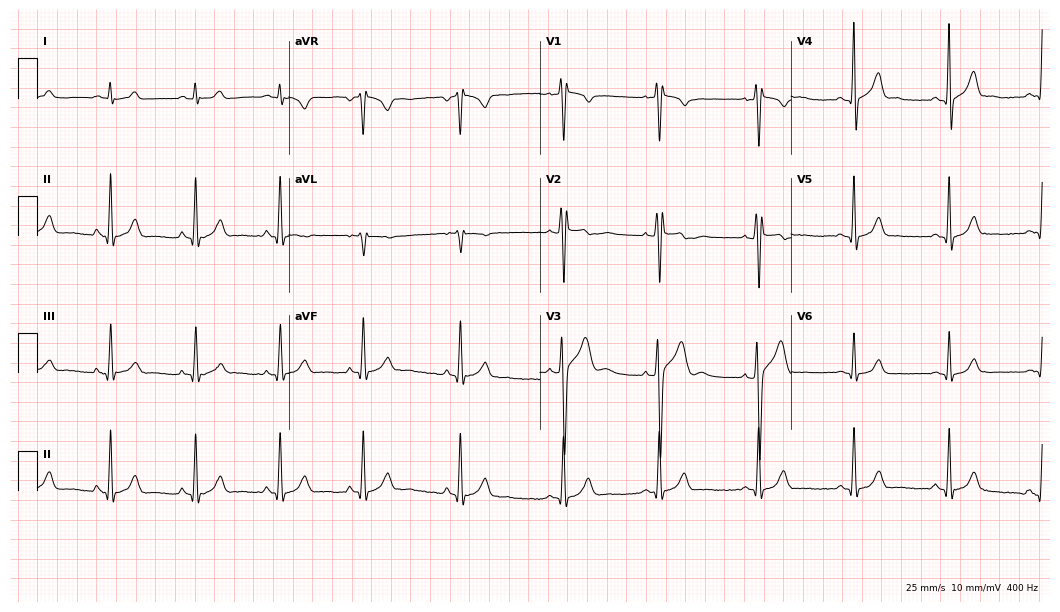
Electrocardiogram (10.2-second recording at 400 Hz), a 20-year-old male patient. Of the six screened findings (first-degree AV block, right bundle branch block (RBBB), left bundle branch block (LBBB), sinus bradycardia, atrial fibrillation (AF), sinus tachycardia), none is recorded. Findings outside these six are not listed.